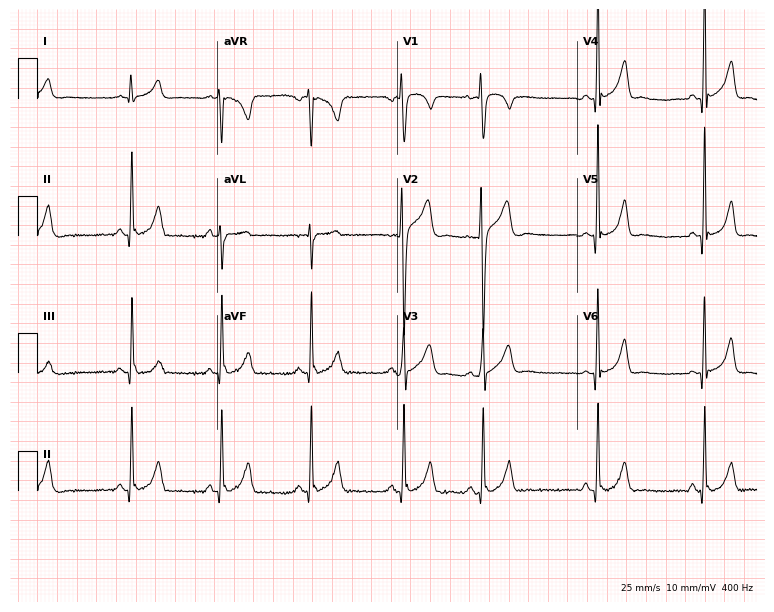
Resting 12-lead electrocardiogram. Patient: a man, 19 years old. Read as a normal ECG.